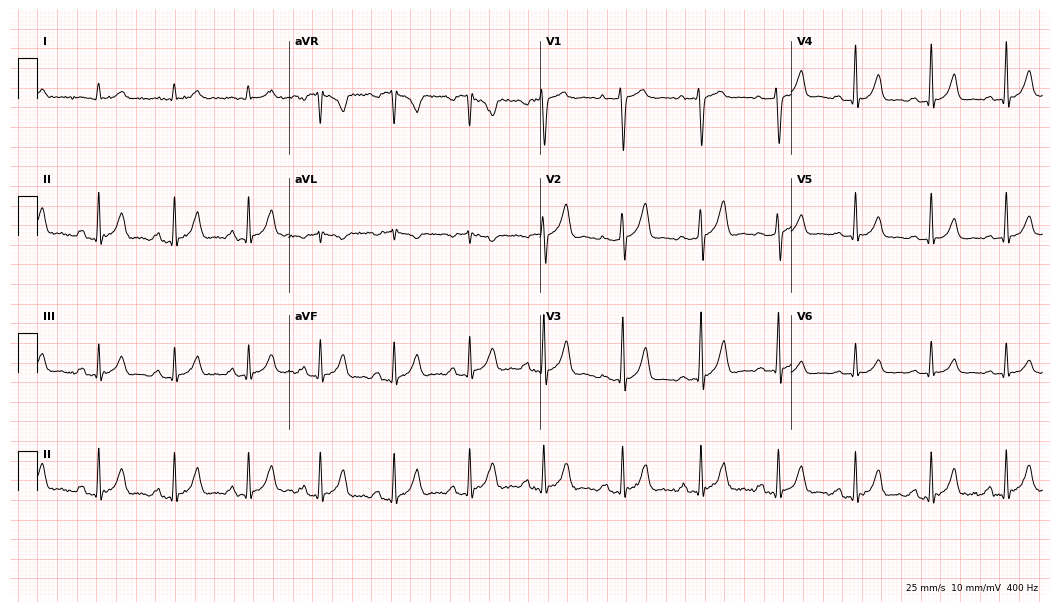
Standard 12-lead ECG recorded from a 47-year-old female patient. None of these six findings is recorded: first-degree AV block, right bundle branch block (RBBB), left bundle branch block (LBBB), sinus bradycardia, atrial fibrillation (AF), sinus tachycardia. Findings outside these six are not listed.